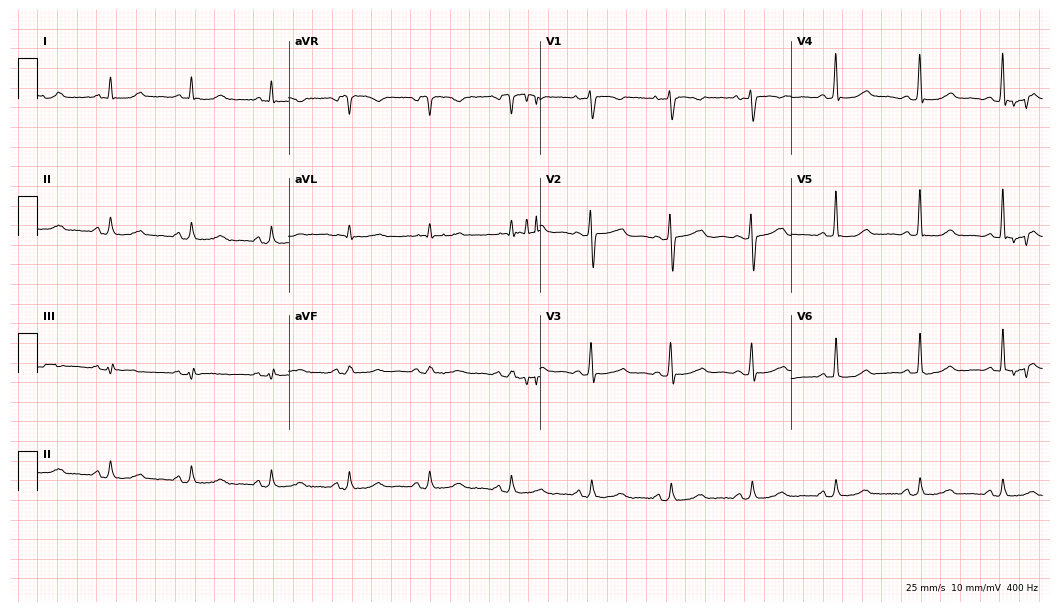
12-lead ECG (10.2-second recording at 400 Hz) from a woman, 46 years old. Screened for six findings — first-degree AV block, right bundle branch block, left bundle branch block, sinus bradycardia, atrial fibrillation, sinus tachycardia — none is recorded.